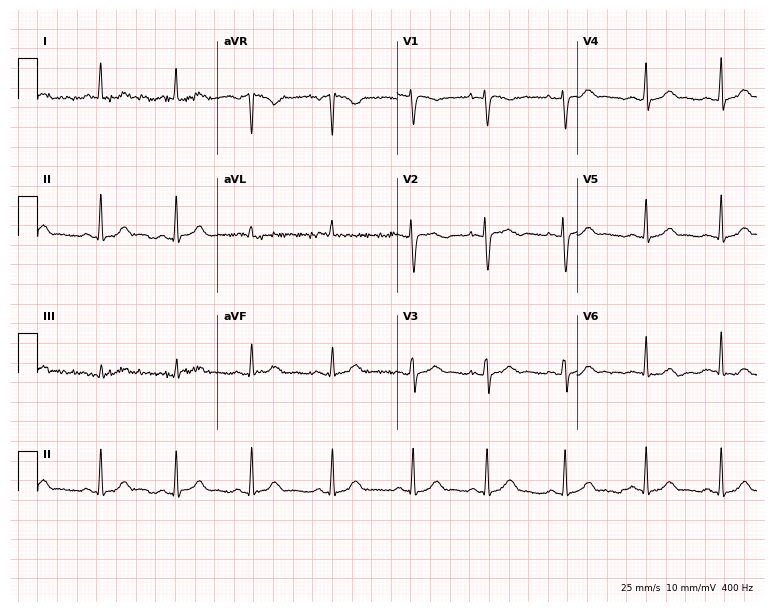
12-lead ECG from a 32-year-old woman. Labelled as a normal ECG.